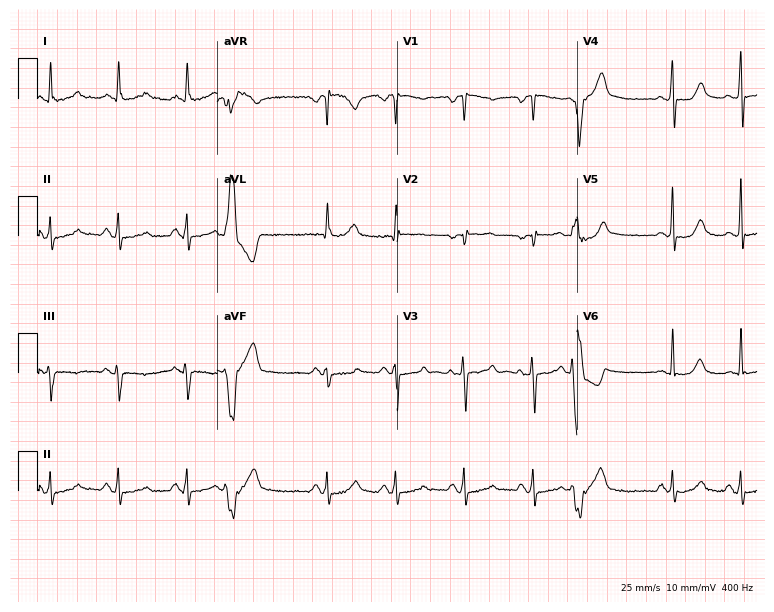
Standard 12-lead ECG recorded from a female patient, 64 years old. None of these six findings is recorded: first-degree AV block, right bundle branch block, left bundle branch block, sinus bradycardia, atrial fibrillation, sinus tachycardia. Only these six findings were labelled.